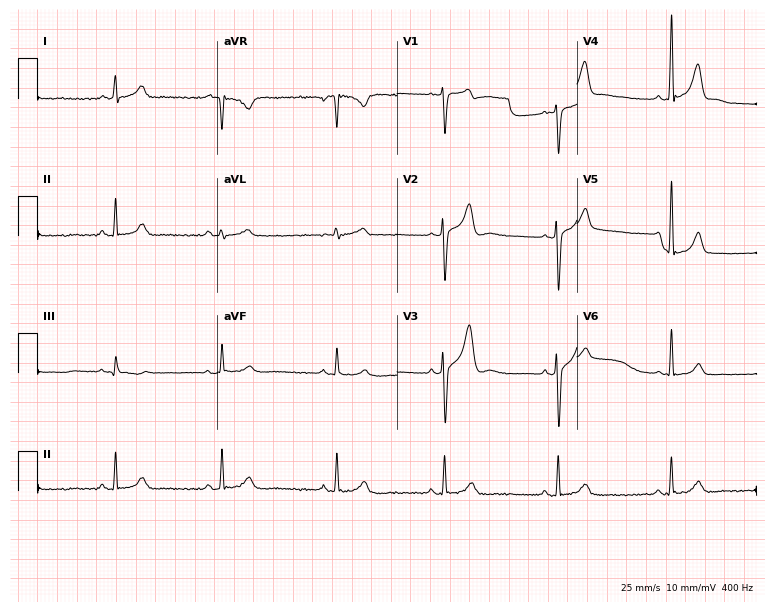
12-lead ECG (7.3-second recording at 400 Hz) from a 39-year-old male. Screened for six findings — first-degree AV block, right bundle branch block, left bundle branch block, sinus bradycardia, atrial fibrillation, sinus tachycardia — none is recorded. Findings outside these six are not listed.